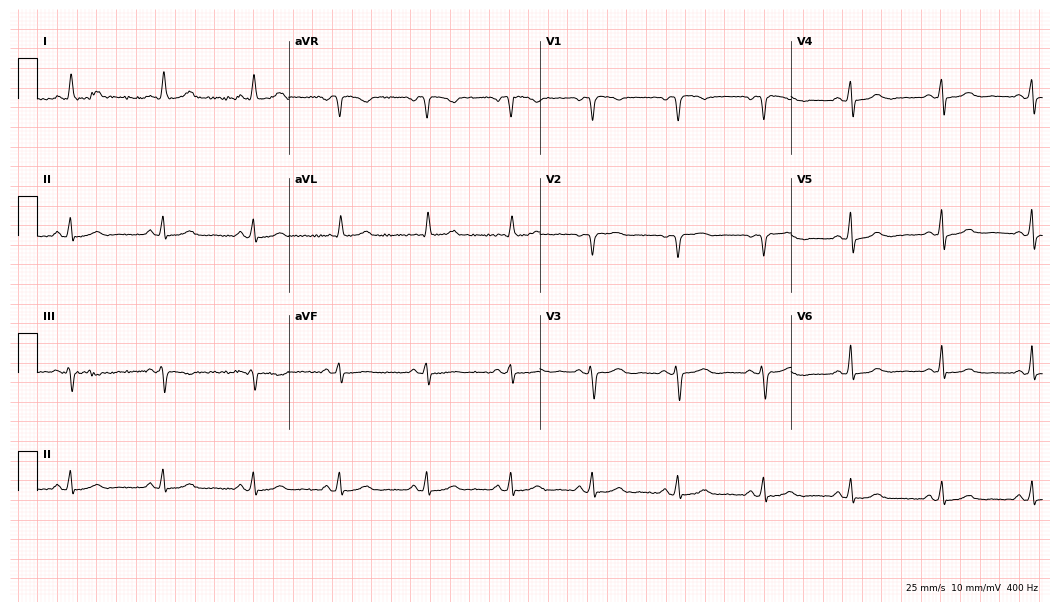
12-lead ECG from a 48-year-old female. Recorded interpretation: within normal limits.